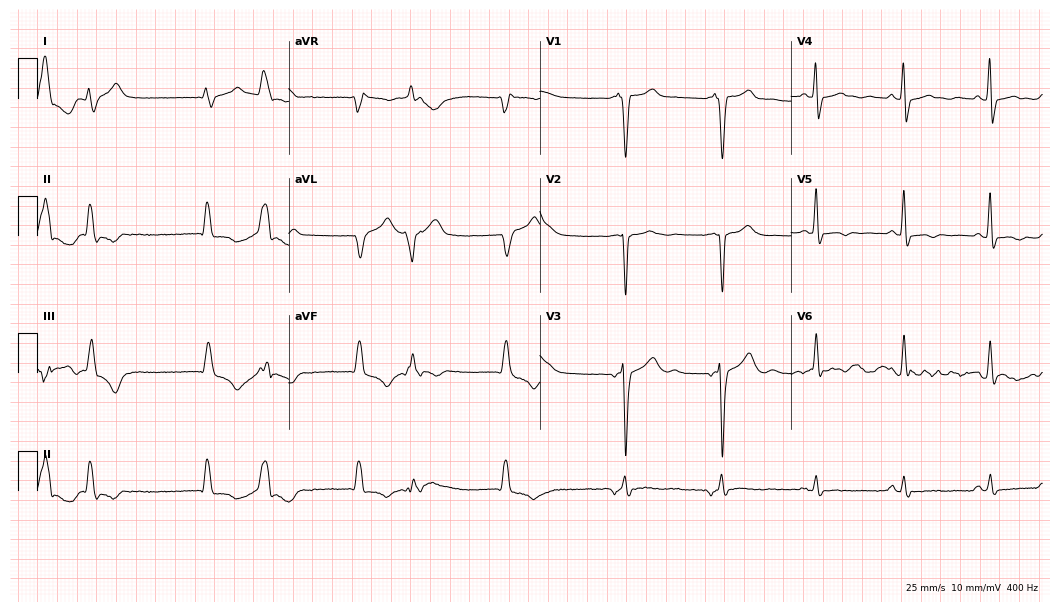
12-lead ECG from a 64-year-old male. No first-degree AV block, right bundle branch block (RBBB), left bundle branch block (LBBB), sinus bradycardia, atrial fibrillation (AF) or sinus tachycardia recorded for this tracing. Other findings, if any, are not listed.